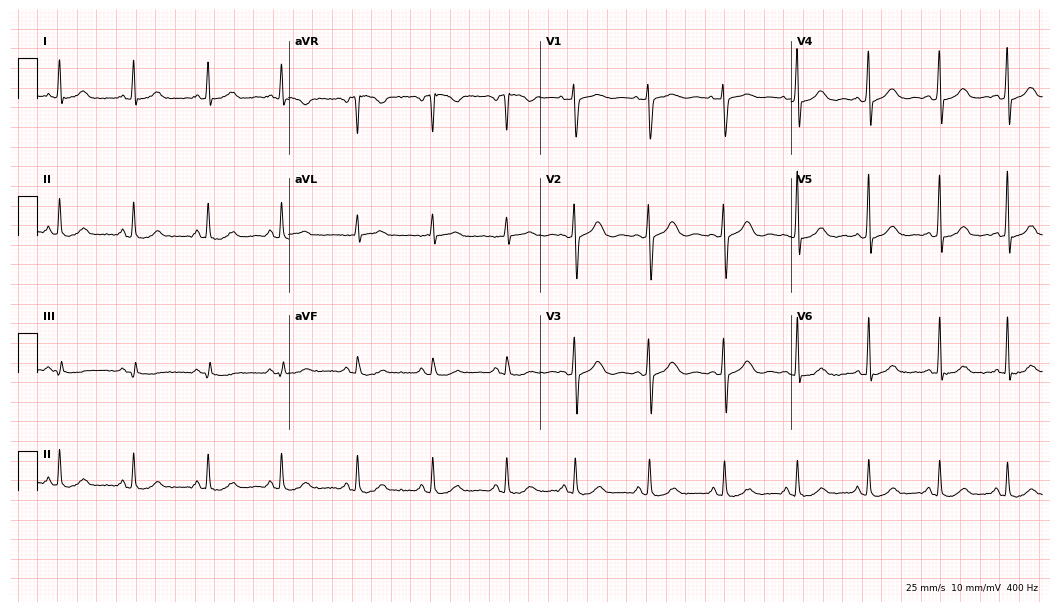
ECG (10.2-second recording at 400 Hz) — a 35-year-old female. Labelled as a normal ECG.